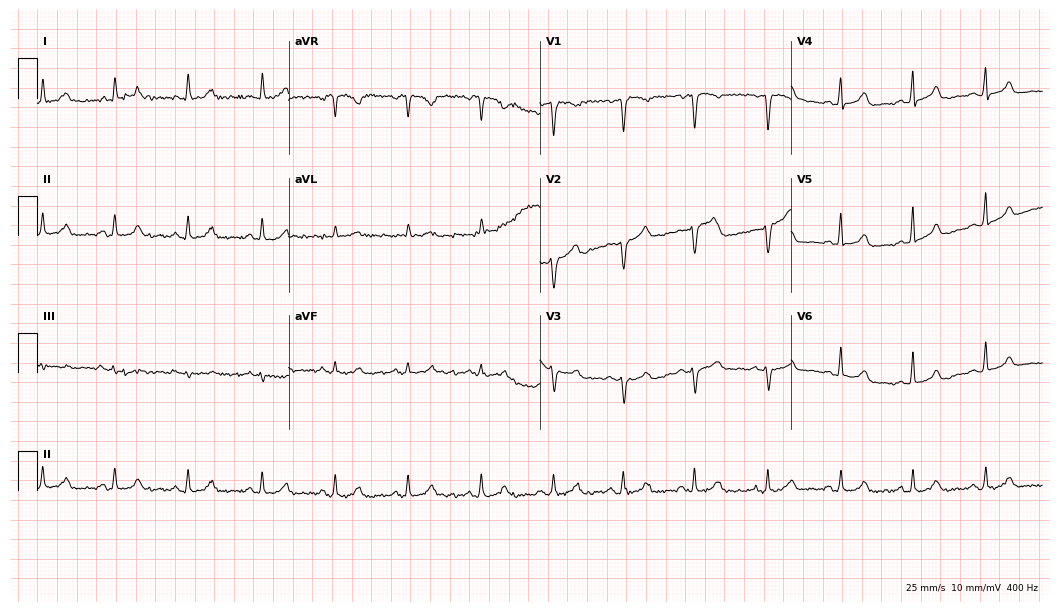
12-lead ECG from a 50-year-old female patient. Recorded interpretation: within normal limits.